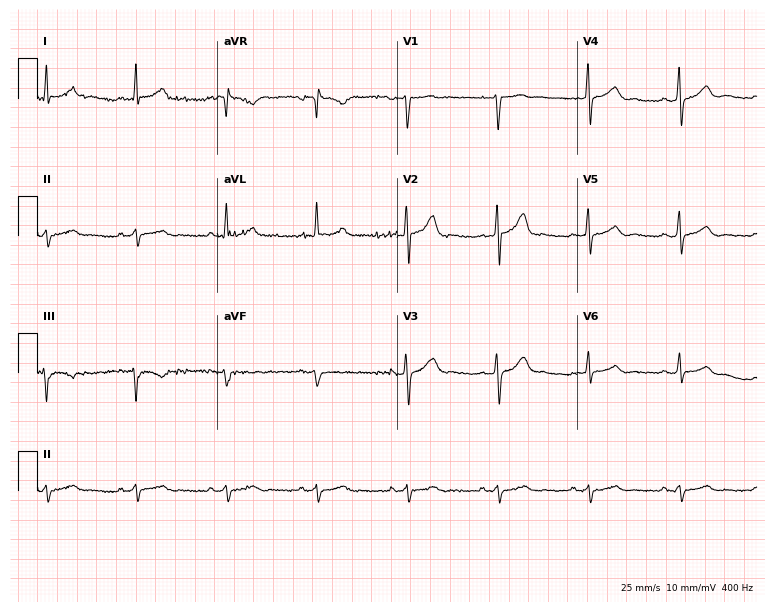
Electrocardiogram (7.3-second recording at 400 Hz), a 64-year-old male patient. Of the six screened findings (first-degree AV block, right bundle branch block, left bundle branch block, sinus bradycardia, atrial fibrillation, sinus tachycardia), none is recorded.